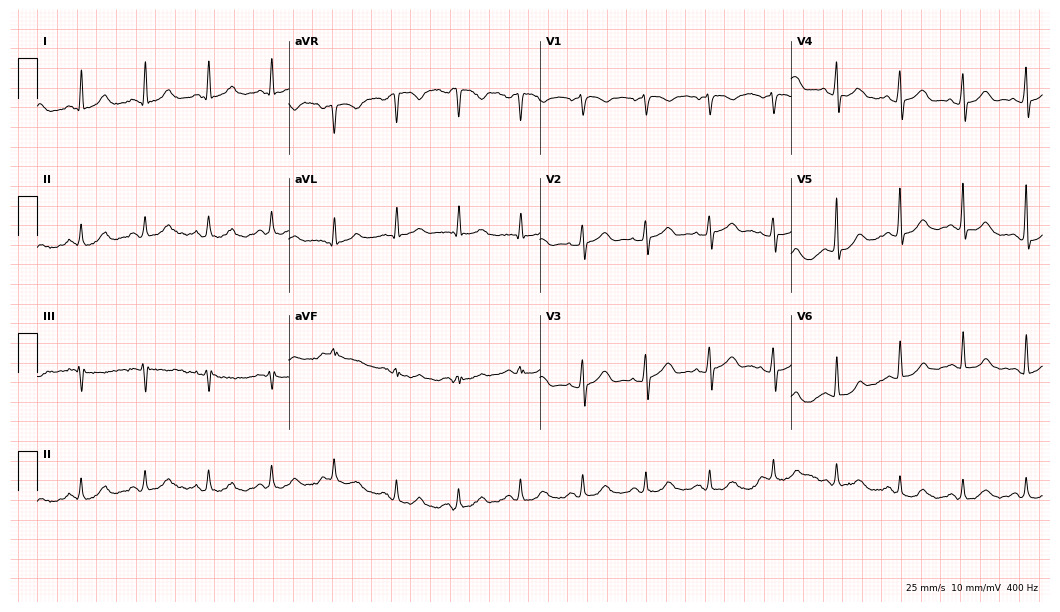
12-lead ECG from a female patient, 62 years old. Recorded interpretation: within normal limits.